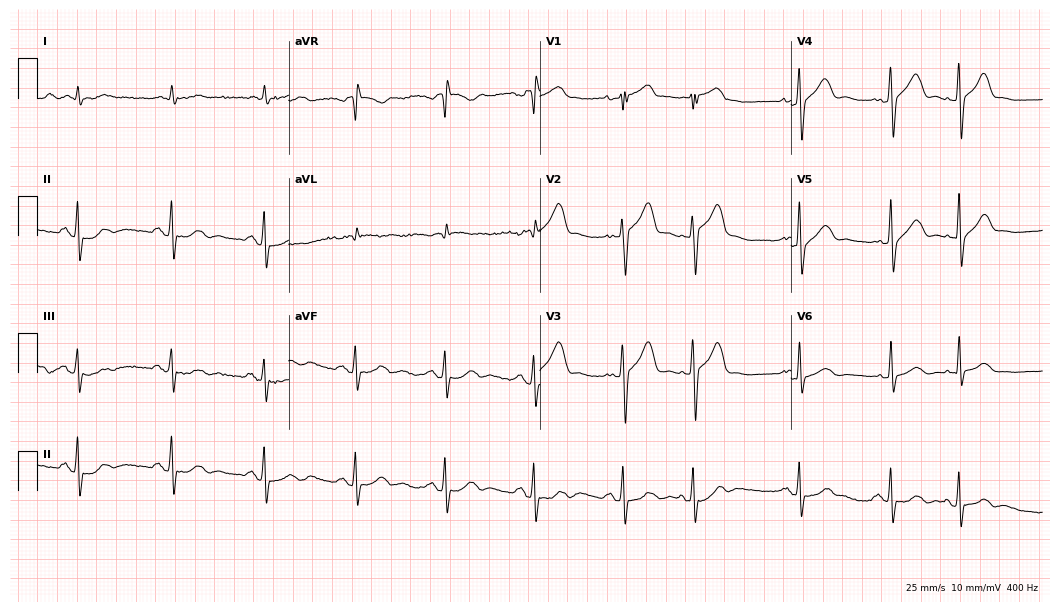
ECG — a man, 58 years old. Screened for six findings — first-degree AV block, right bundle branch block, left bundle branch block, sinus bradycardia, atrial fibrillation, sinus tachycardia — none is recorded. Findings outside these six are not listed.